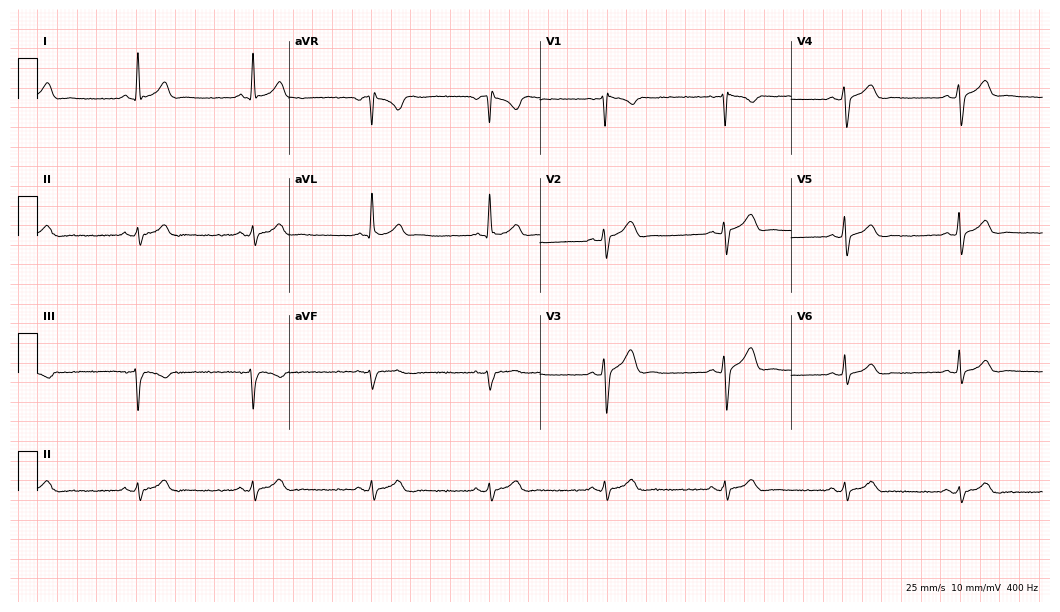
Resting 12-lead electrocardiogram. Patient: a 43-year-old man. None of these six findings is recorded: first-degree AV block, right bundle branch block (RBBB), left bundle branch block (LBBB), sinus bradycardia, atrial fibrillation (AF), sinus tachycardia. Other findings, if any, are not listed.